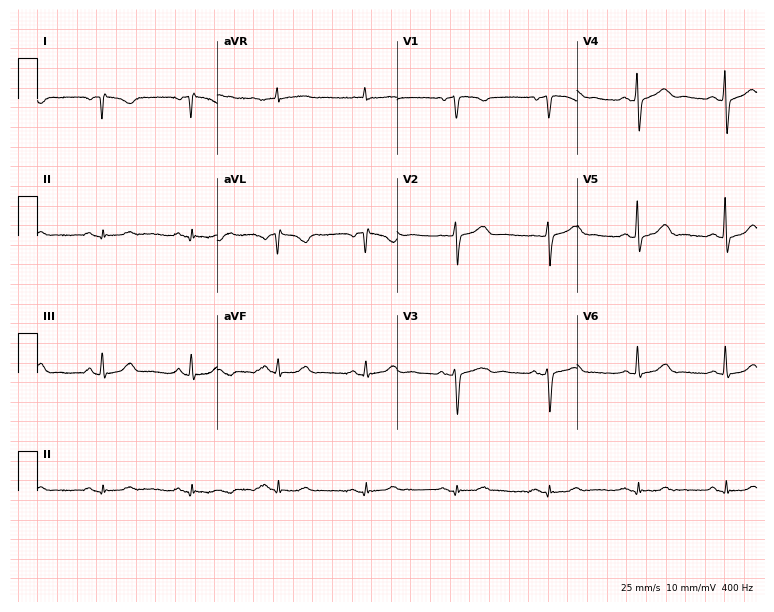
Resting 12-lead electrocardiogram. Patient: a female, 71 years old. Read as a normal ECG.